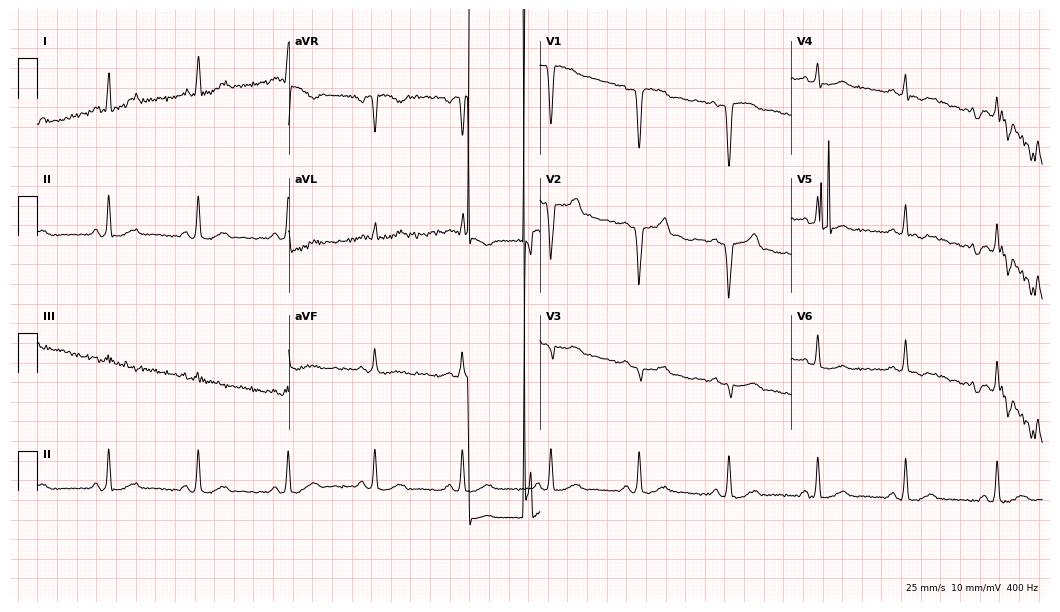
Standard 12-lead ECG recorded from a male patient, 47 years old. None of these six findings is recorded: first-degree AV block, right bundle branch block, left bundle branch block, sinus bradycardia, atrial fibrillation, sinus tachycardia. Findings outside these six are not listed.